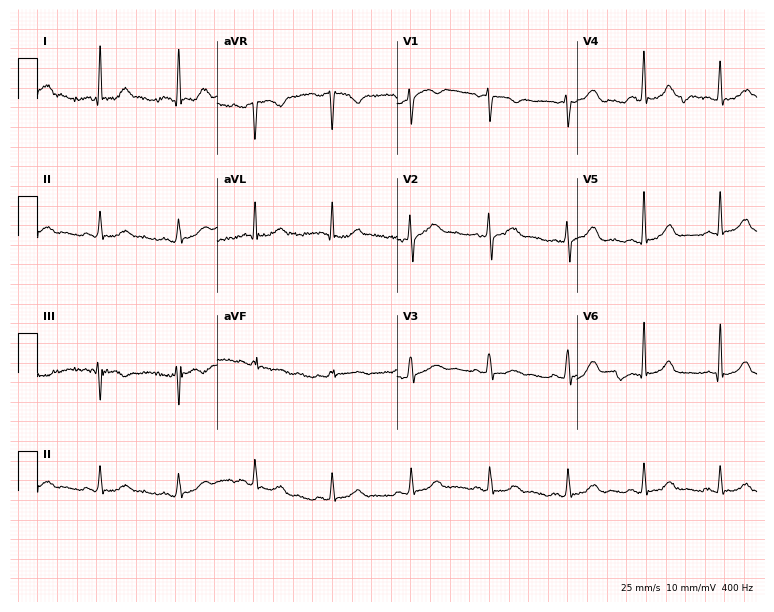
Resting 12-lead electrocardiogram. Patient: a 54-year-old female. None of these six findings is recorded: first-degree AV block, right bundle branch block, left bundle branch block, sinus bradycardia, atrial fibrillation, sinus tachycardia.